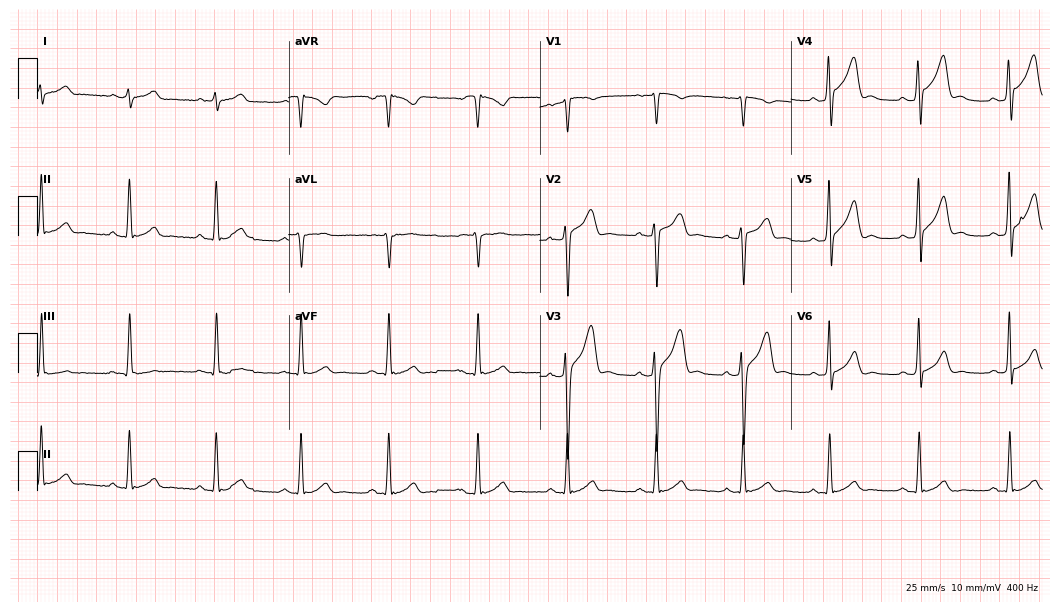
Standard 12-lead ECG recorded from a 23-year-old man (10.2-second recording at 400 Hz). Read as a normal ECG.